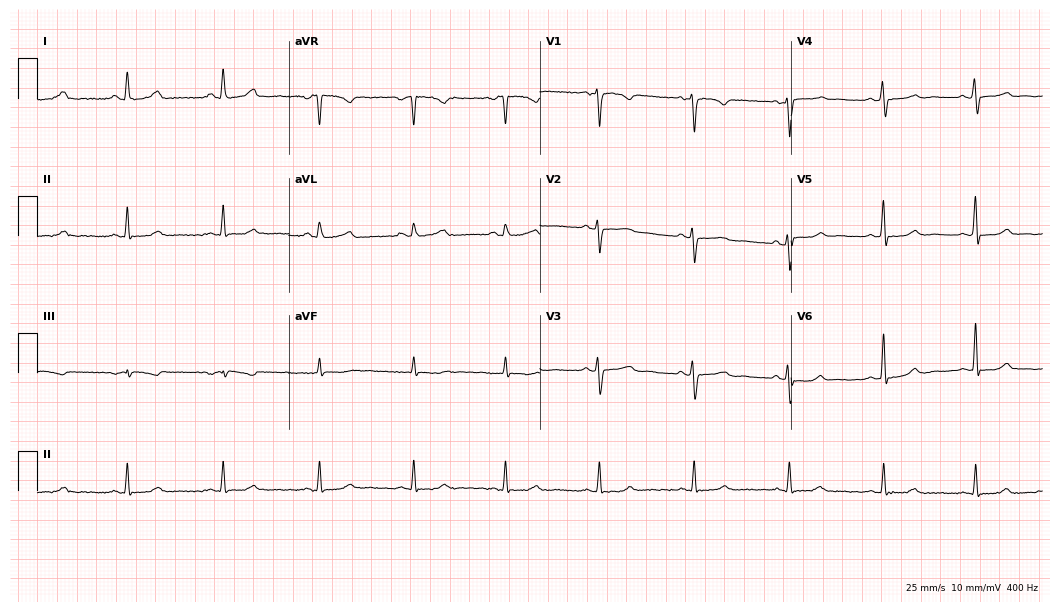
Electrocardiogram (10.2-second recording at 400 Hz), a woman, 50 years old. Of the six screened findings (first-degree AV block, right bundle branch block, left bundle branch block, sinus bradycardia, atrial fibrillation, sinus tachycardia), none is recorded.